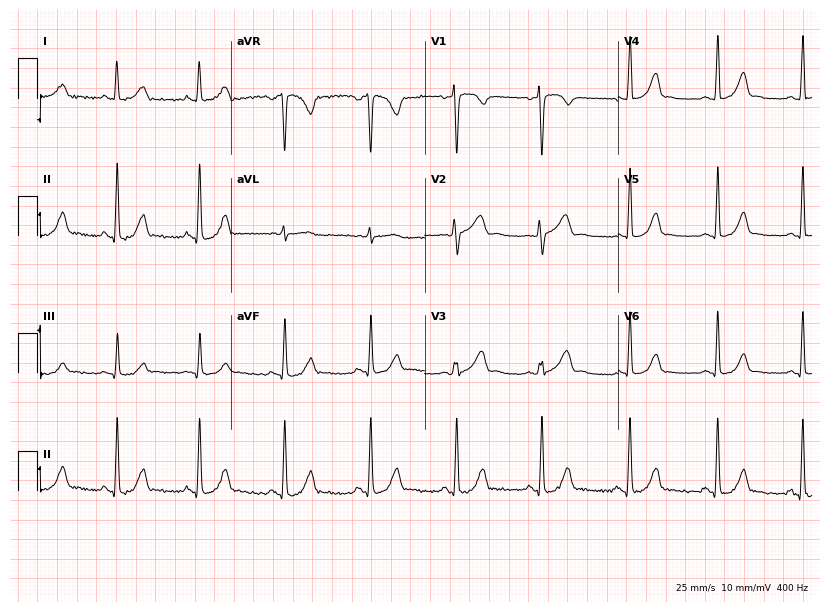
Resting 12-lead electrocardiogram (7.9-second recording at 400 Hz). Patient: a female, 36 years old. Read as a normal ECG.